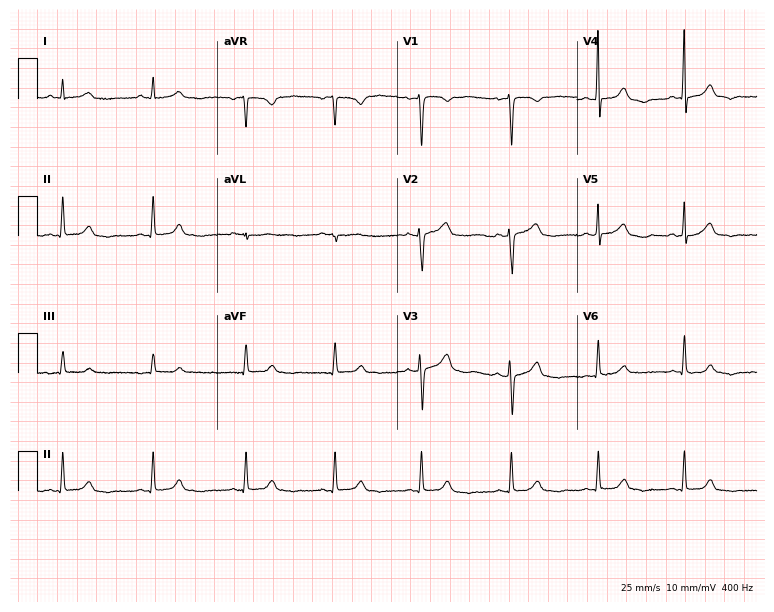
ECG — a 52-year-old female. Screened for six findings — first-degree AV block, right bundle branch block (RBBB), left bundle branch block (LBBB), sinus bradycardia, atrial fibrillation (AF), sinus tachycardia — none is recorded.